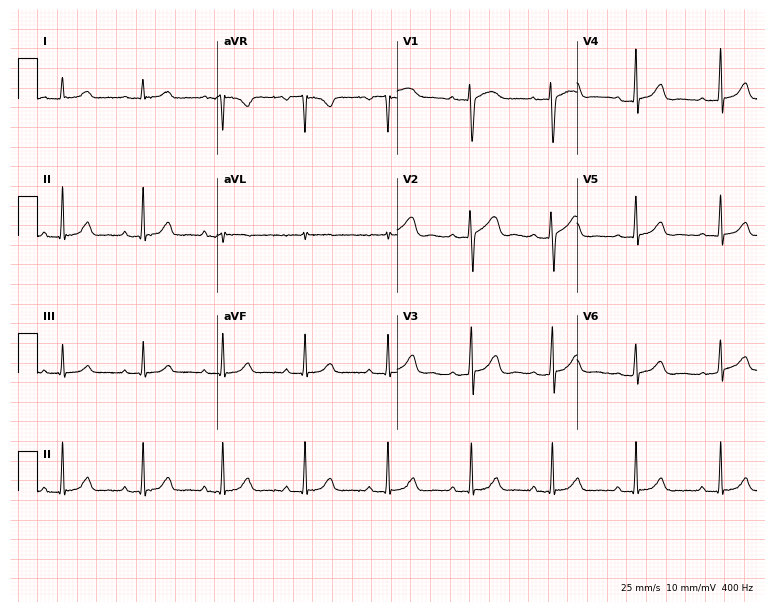
Electrocardiogram (7.3-second recording at 400 Hz), a female, 31 years old. Of the six screened findings (first-degree AV block, right bundle branch block (RBBB), left bundle branch block (LBBB), sinus bradycardia, atrial fibrillation (AF), sinus tachycardia), none is recorded.